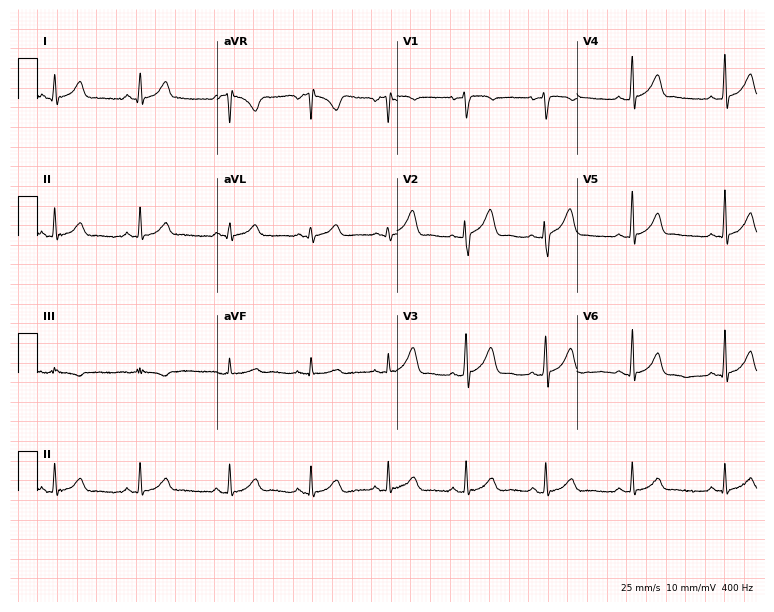
Standard 12-lead ECG recorded from a male patient, 23 years old. None of these six findings is recorded: first-degree AV block, right bundle branch block, left bundle branch block, sinus bradycardia, atrial fibrillation, sinus tachycardia.